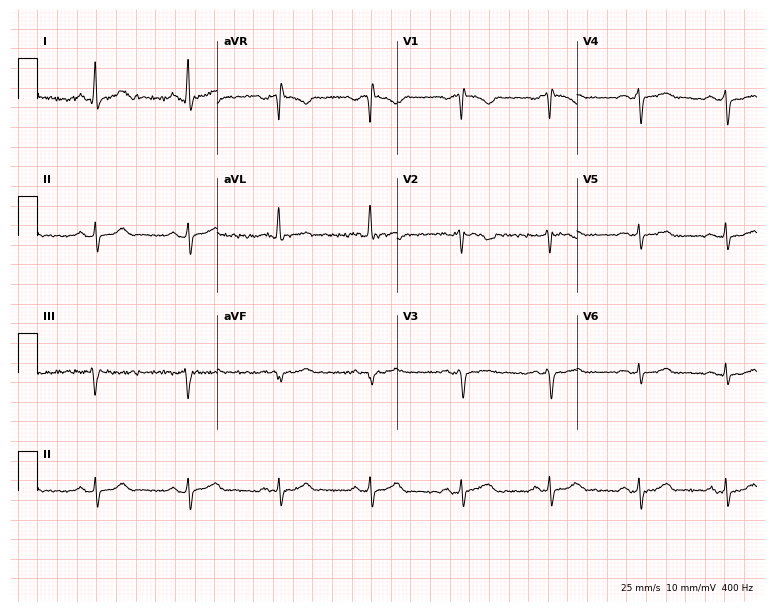
ECG (7.3-second recording at 400 Hz) — a 42-year-old female patient. Screened for six findings — first-degree AV block, right bundle branch block (RBBB), left bundle branch block (LBBB), sinus bradycardia, atrial fibrillation (AF), sinus tachycardia — none is recorded. Findings outside these six are not listed.